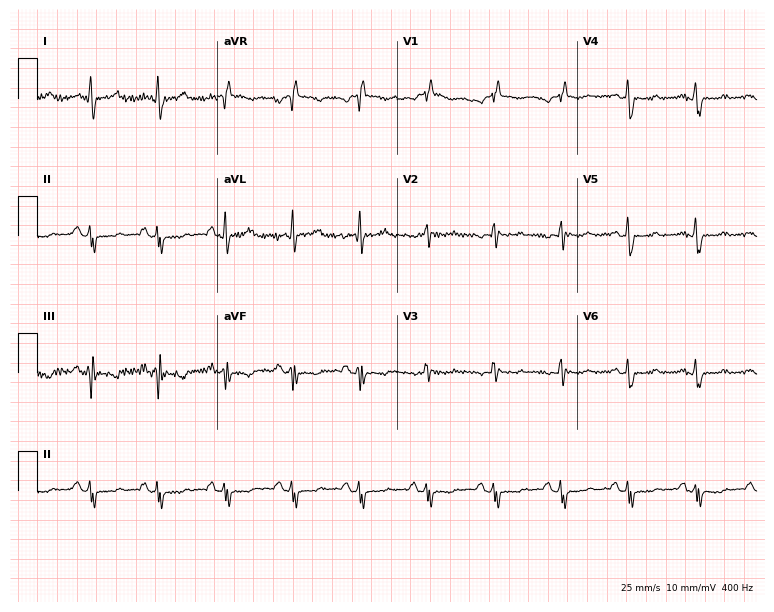
ECG — a 55-year-old female. Screened for six findings — first-degree AV block, right bundle branch block (RBBB), left bundle branch block (LBBB), sinus bradycardia, atrial fibrillation (AF), sinus tachycardia — none is recorded. Other findings, if any, are not listed.